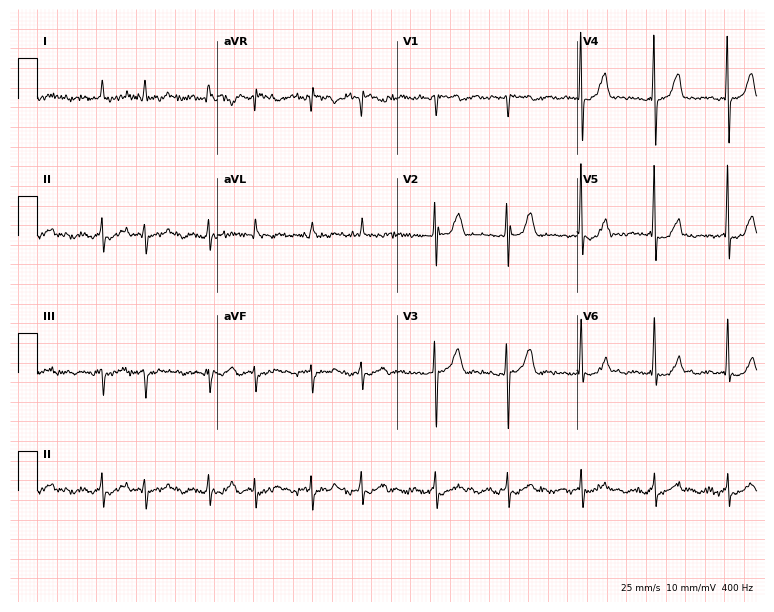
Standard 12-lead ECG recorded from an 84-year-old female (7.3-second recording at 400 Hz). The tracing shows atrial fibrillation.